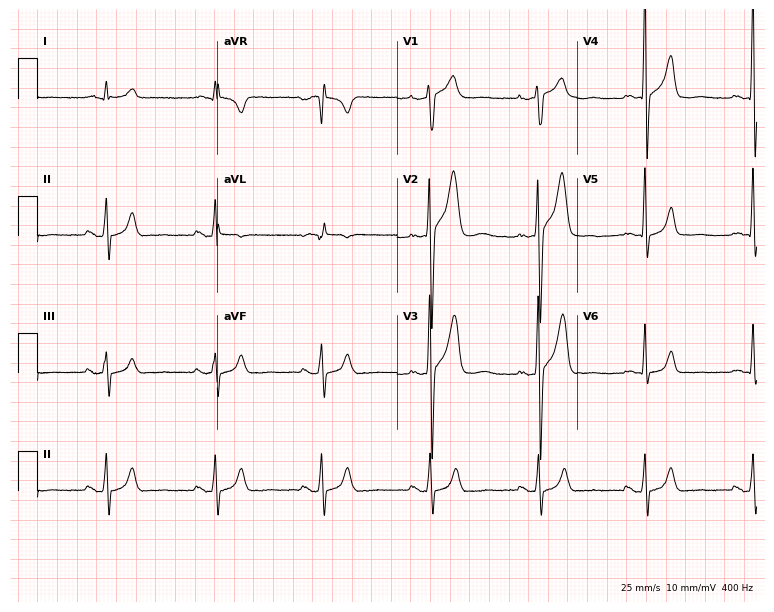
Electrocardiogram, a man, 51 years old. Of the six screened findings (first-degree AV block, right bundle branch block, left bundle branch block, sinus bradycardia, atrial fibrillation, sinus tachycardia), none is recorded. Only these six findings were labelled.